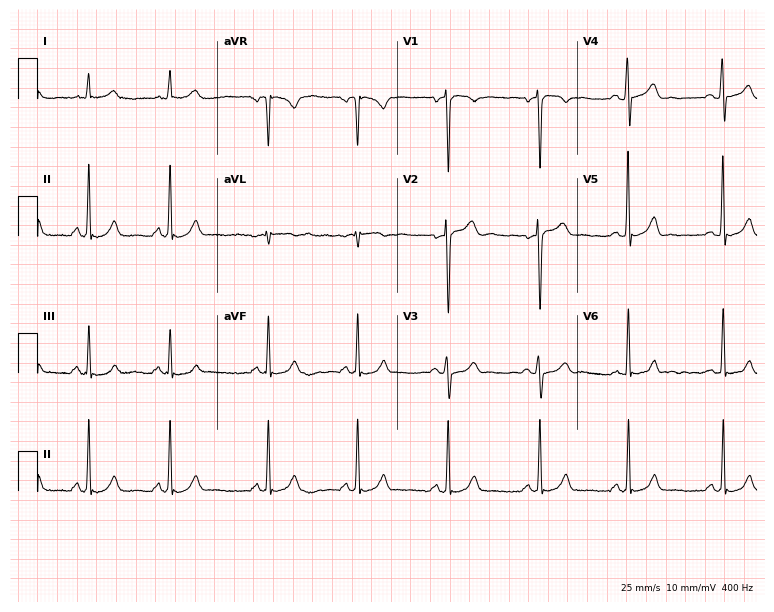
12-lead ECG from a 19-year-old male. Labelled as a normal ECG.